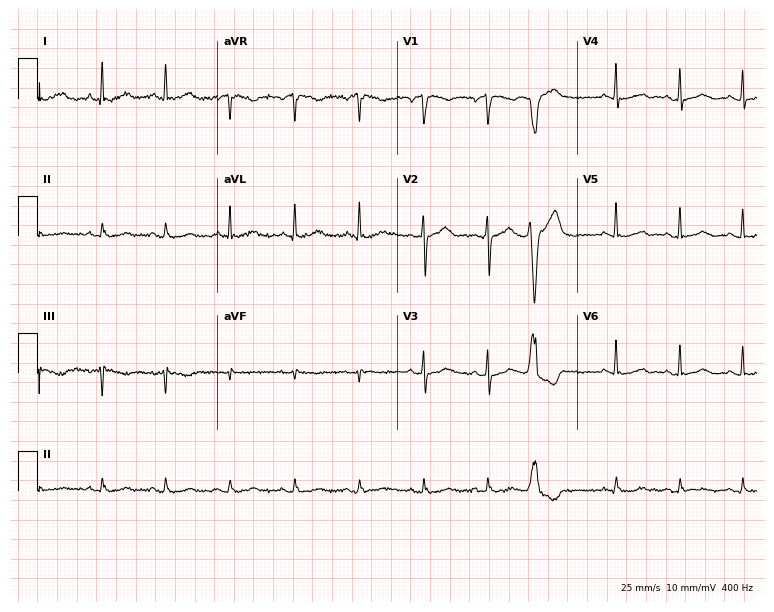
12-lead ECG from a woman, 64 years old (7.3-second recording at 400 Hz). No first-degree AV block, right bundle branch block (RBBB), left bundle branch block (LBBB), sinus bradycardia, atrial fibrillation (AF) or sinus tachycardia recorded for this tracing.